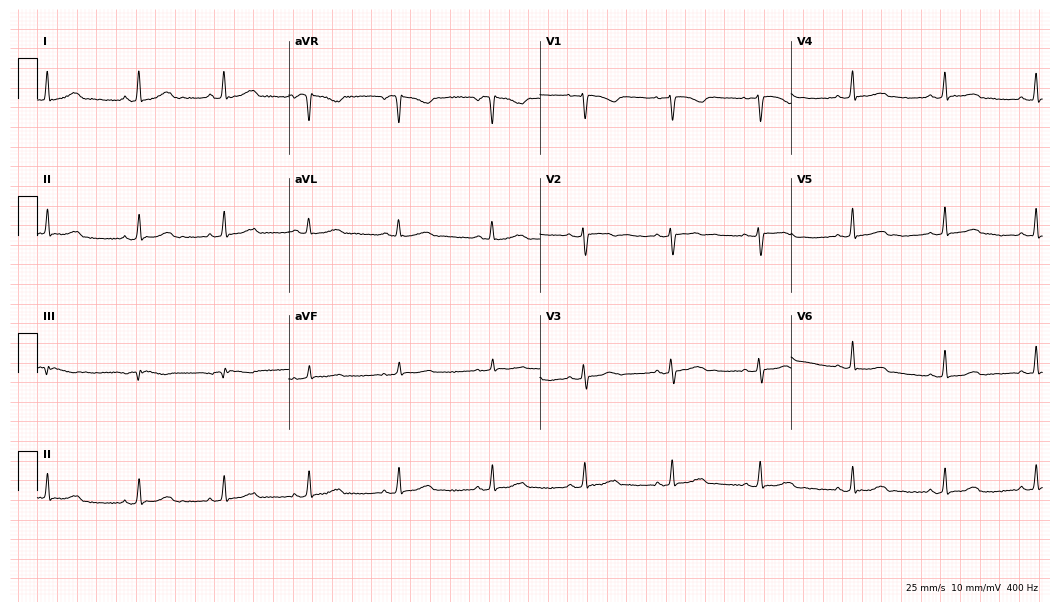
ECG — a 37-year-old woman. Labelled as a normal ECG.